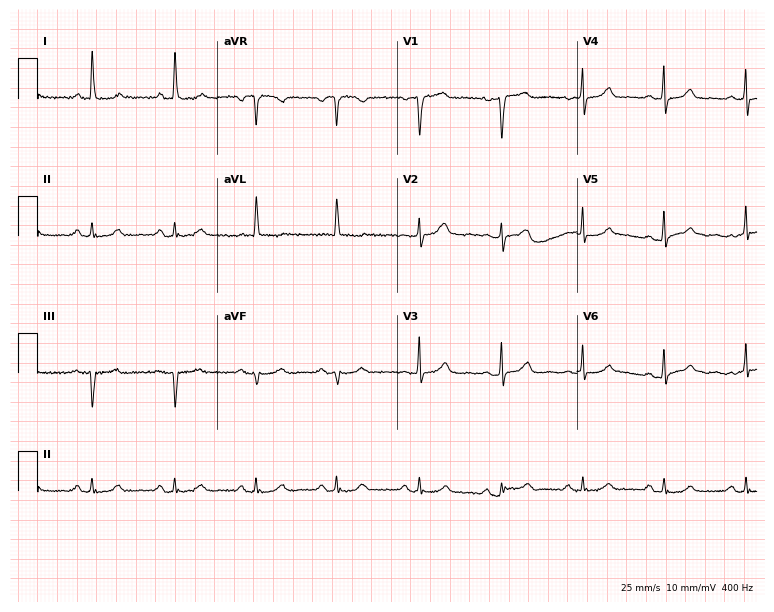
Electrocardiogram, a 78-year-old female. Of the six screened findings (first-degree AV block, right bundle branch block, left bundle branch block, sinus bradycardia, atrial fibrillation, sinus tachycardia), none is recorded.